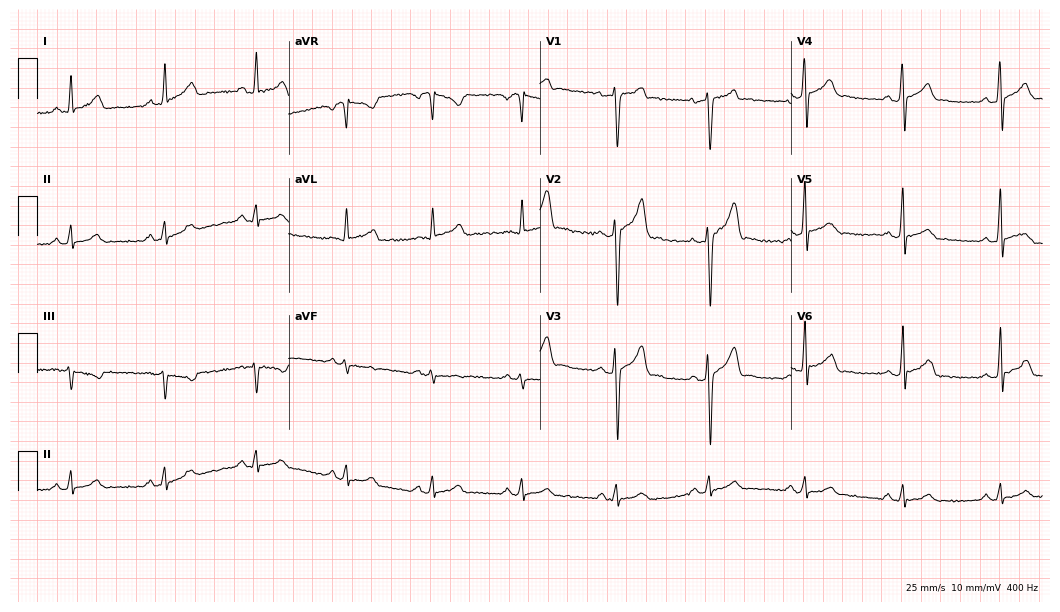
Standard 12-lead ECG recorded from a male, 36 years old. Read as a normal ECG.